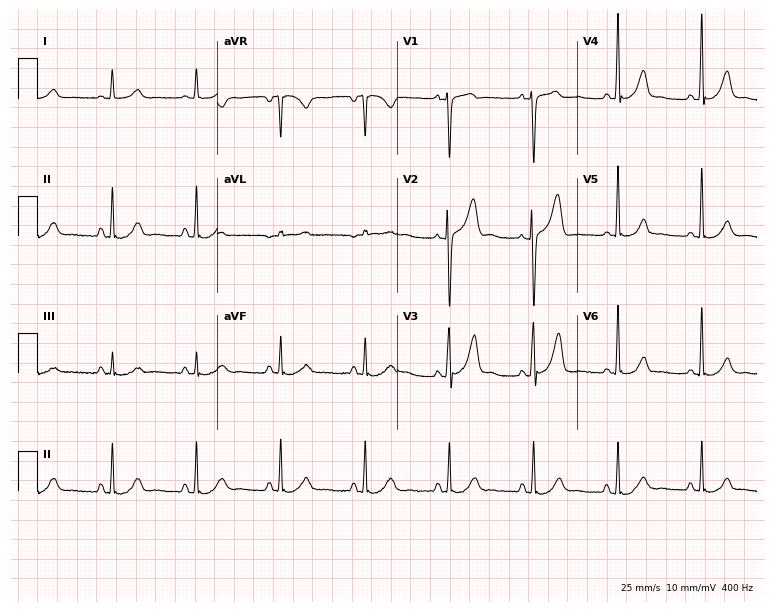
12-lead ECG from a male, 63 years old. No first-degree AV block, right bundle branch block, left bundle branch block, sinus bradycardia, atrial fibrillation or sinus tachycardia recorded for this tracing.